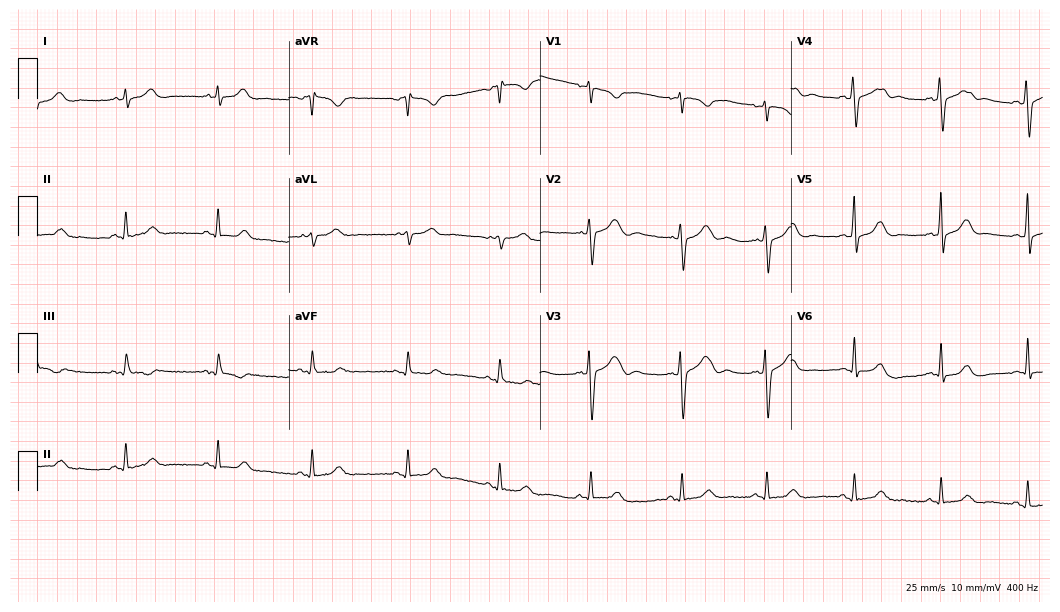
Standard 12-lead ECG recorded from a female, 37 years old (10.2-second recording at 400 Hz). Read as a normal ECG.